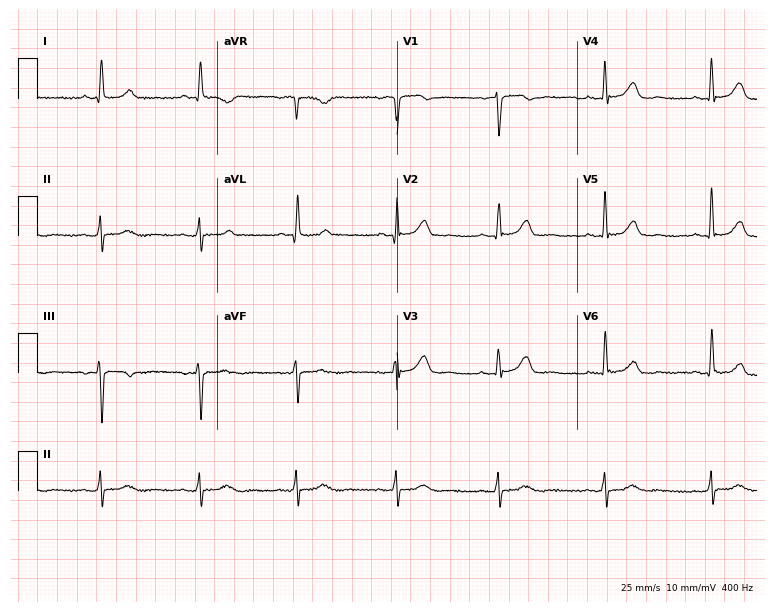
12-lead ECG from a female patient, 73 years old. No first-degree AV block, right bundle branch block, left bundle branch block, sinus bradycardia, atrial fibrillation or sinus tachycardia recorded for this tracing. Only these six findings were labelled.